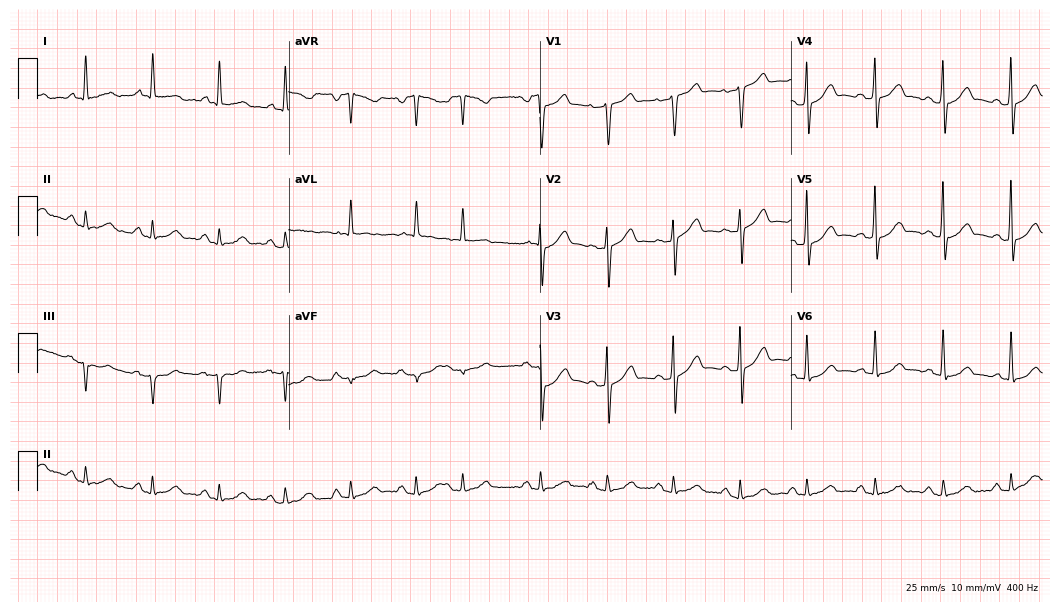
12-lead ECG (10.2-second recording at 400 Hz) from a 65-year-old man. Labelled as a normal ECG.